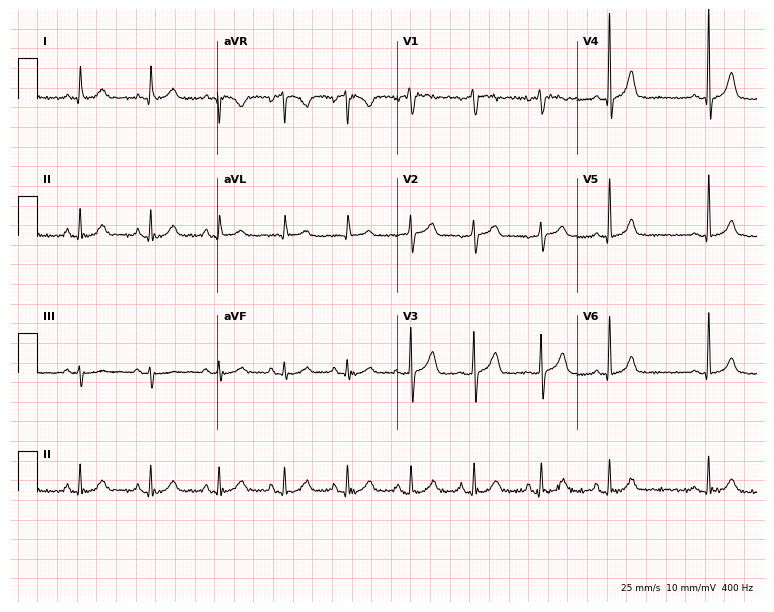
Electrocardiogram, a 75-year-old woman. Overall reading on record: normal ECG.